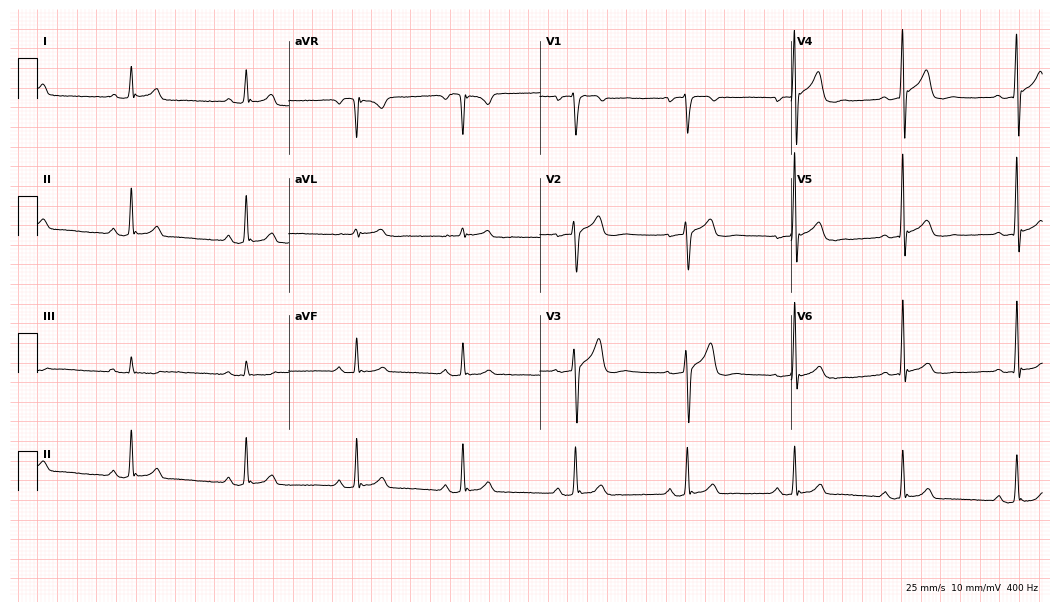
Resting 12-lead electrocardiogram (10.2-second recording at 400 Hz). Patient: a 33-year-old man. Read as a normal ECG.